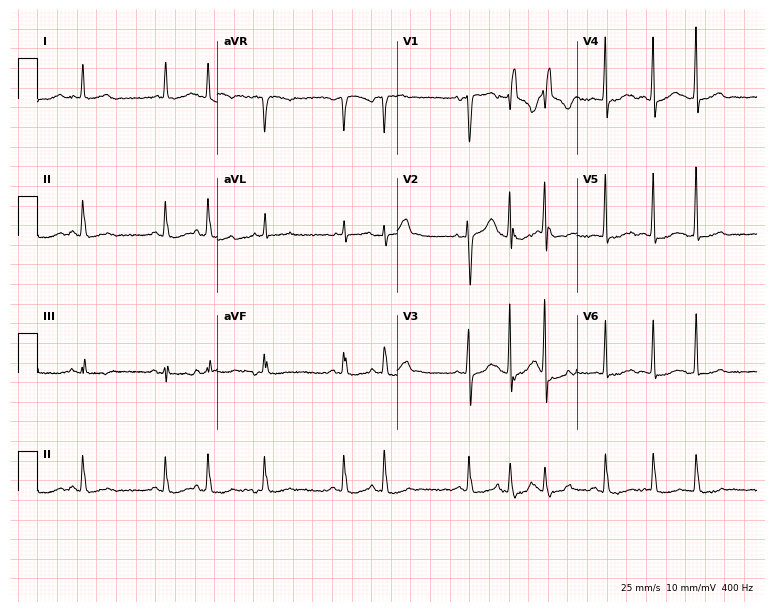
12-lead ECG (7.3-second recording at 400 Hz) from a 73-year-old male patient. Screened for six findings — first-degree AV block, right bundle branch block, left bundle branch block, sinus bradycardia, atrial fibrillation, sinus tachycardia — none is recorded.